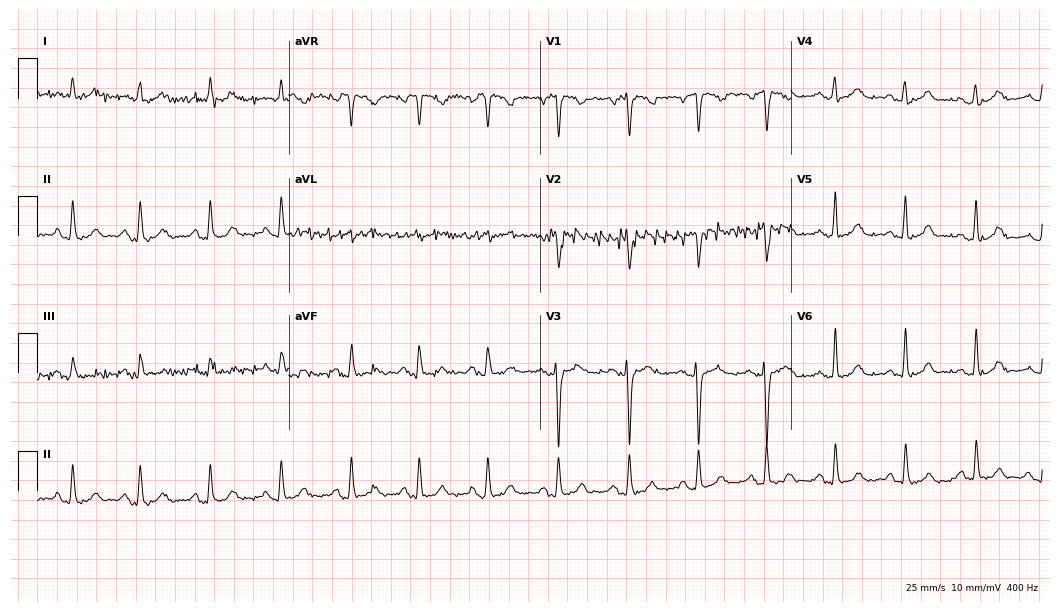
12-lead ECG (10.2-second recording at 400 Hz) from a 48-year-old female. Labelled as a normal ECG.